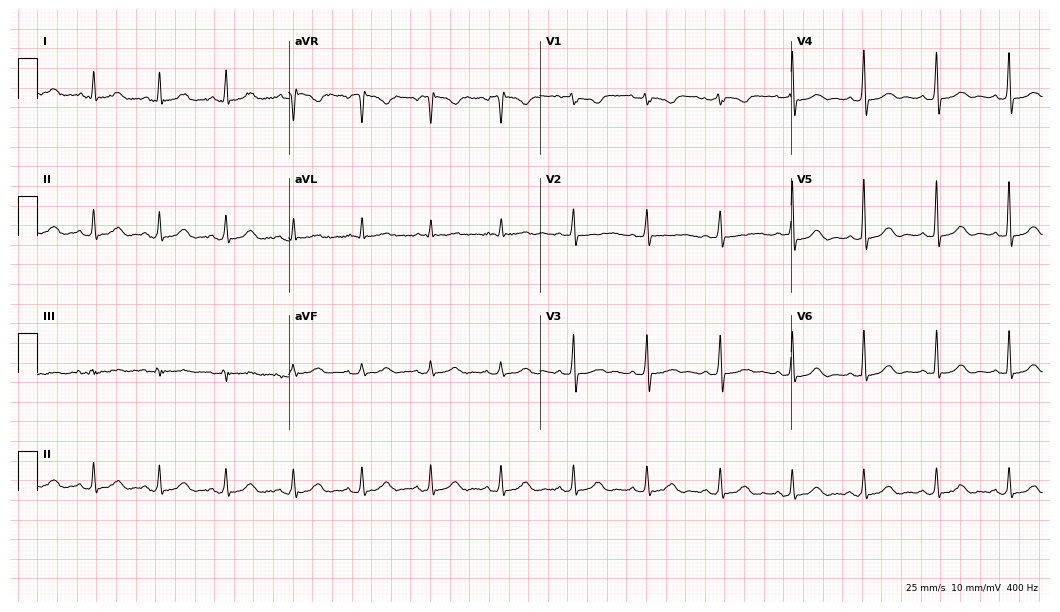
12-lead ECG from a female patient, 53 years old. Recorded interpretation: within normal limits.